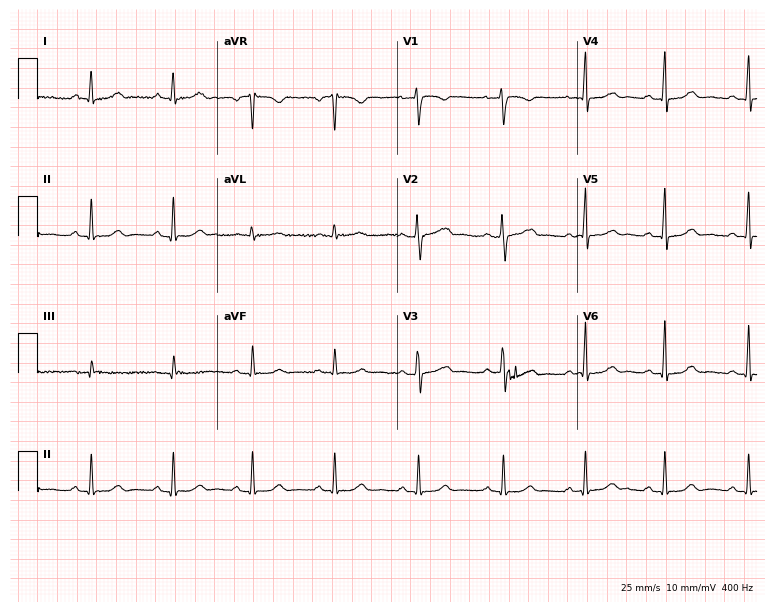
12-lead ECG from a woman, 35 years old. No first-degree AV block, right bundle branch block, left bundle branch block, sinus bradycardia, atrial fibrillation or sinus tachycardia recorded for this tracing.